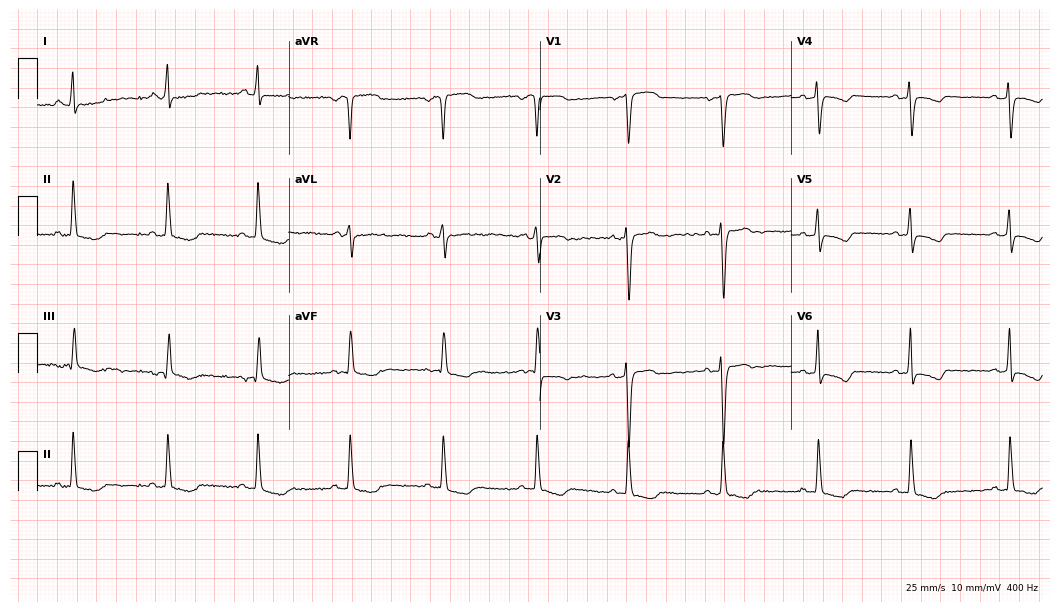
ECG (10.2-second recording at 400 Hz) — a 45-year-old woman. Screened for six findings — first-degree AV block, right bundle branch block (RBBB), left bundle branch block (LBBB), sinus bradycardia, atrial fibrillation (AF), sinus tachycardia — none is recorded. Findings outside these six are not listed.